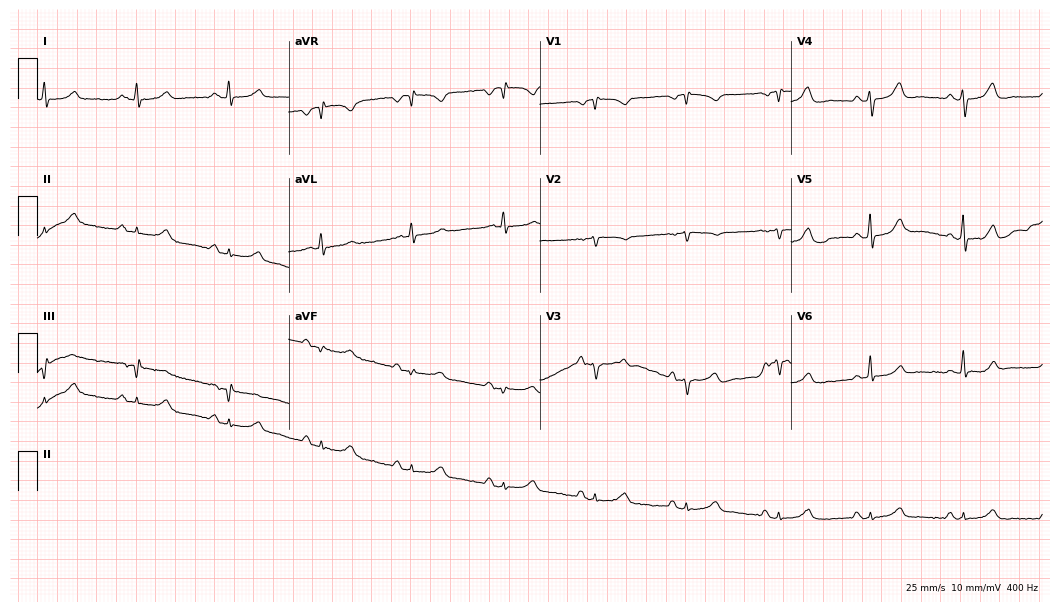
Electrocardiogram (10.2-second recording at 400 Hz), a 79-year-old female. Overall reading on record: normal ECG.